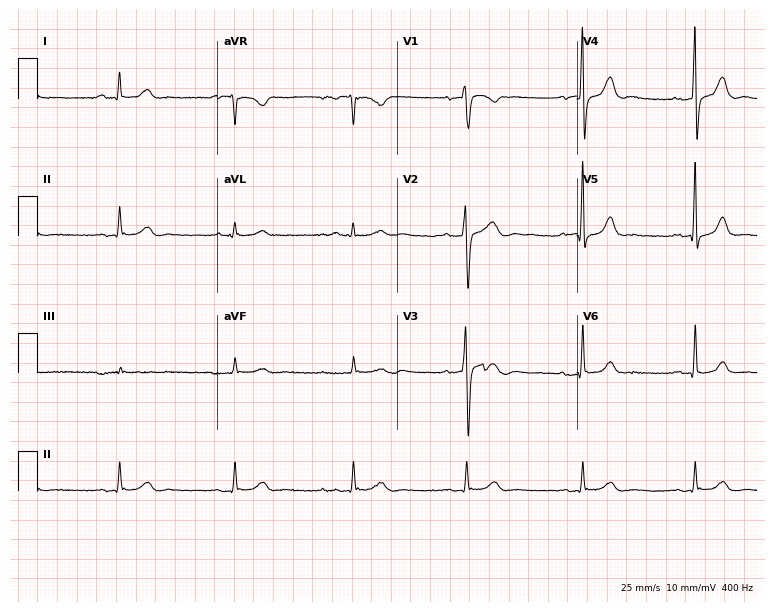
12-lead ECG from a 65-year-old female patient. No first-degree AV block, right bundle branch block, left bundle branch block, sinus bradycardia, atrial fibrillation or sinus tachycardia recorded for this tracing.